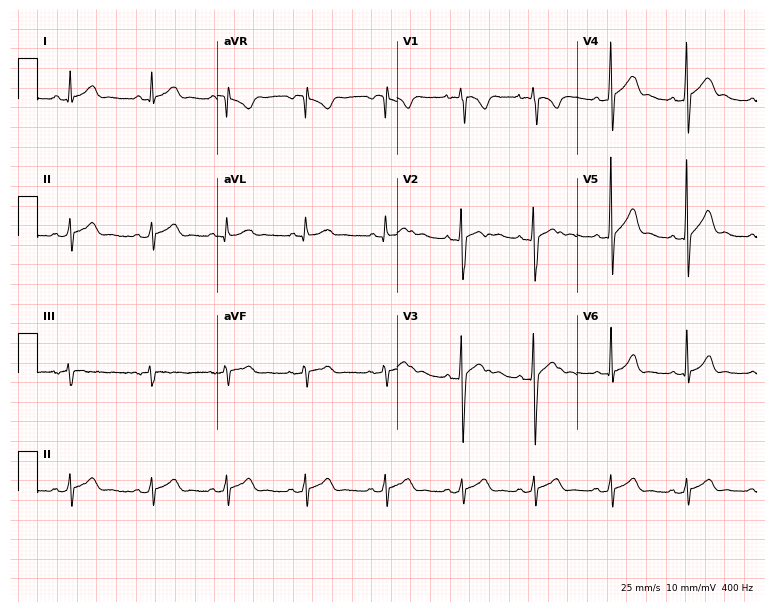
ECG — a man, 21 years old. Labelled as a normal ECG.